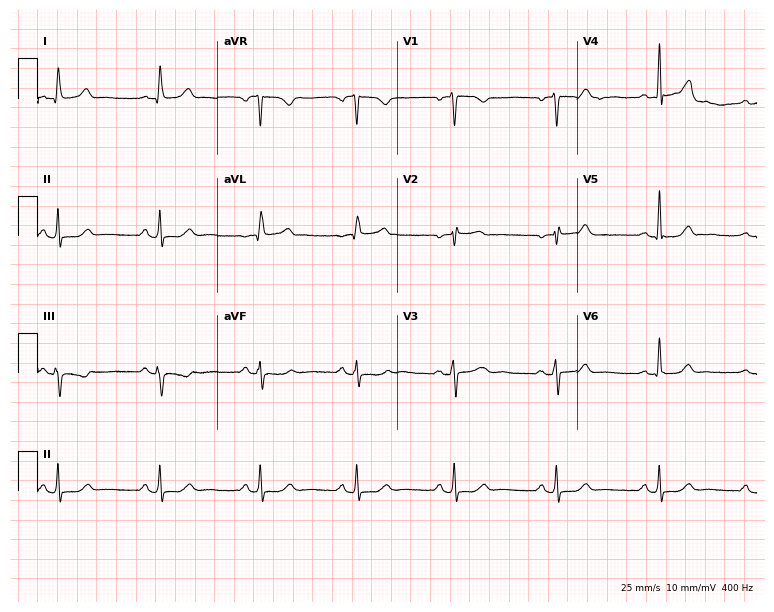
Electrocardiogram (7.3-second recording at 400 Hz), a 49-year-old woman. Overall reading on record: normal ECG.